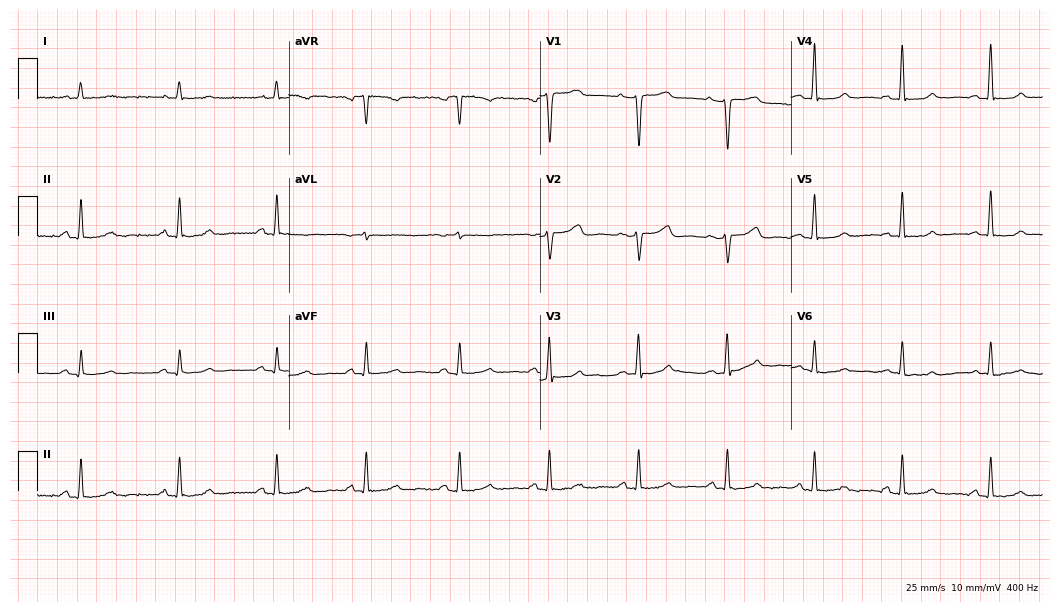
Standard 12-lead ECG recorded from a 47-year-old female (10.2-second recording at 400 Hz). None of these six findings is recorded: first-degree AV block, right bundle branch block, left bundle branch block, sinus bradycardia, atrial fibrillation, sinus tachycardia.